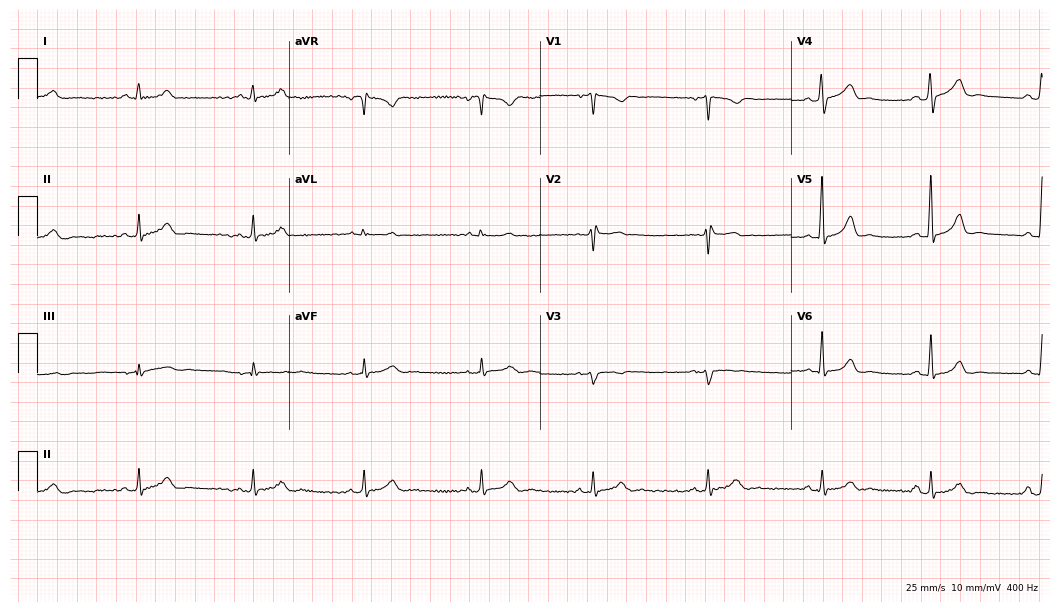
Standard 12-lead ECG recorded from an 18-year-old male (10.2-second recording at 400 Hz). None of these six findings is recorded: first-degree AV block, right bundle branch block, left bundle branch block, sinus bradycardia, atrial fibrillation, sinus tachycardia.